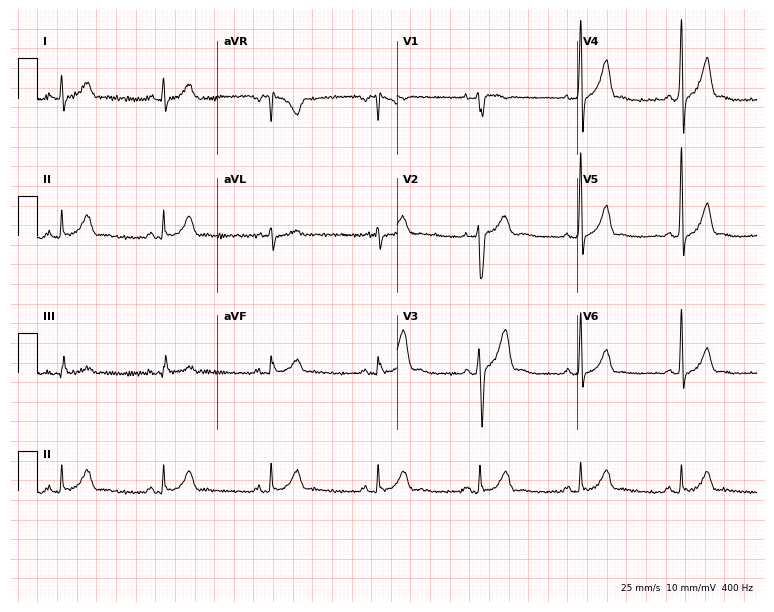
ECG — a male patient, 40 years old. Labelled as a normal ECG.